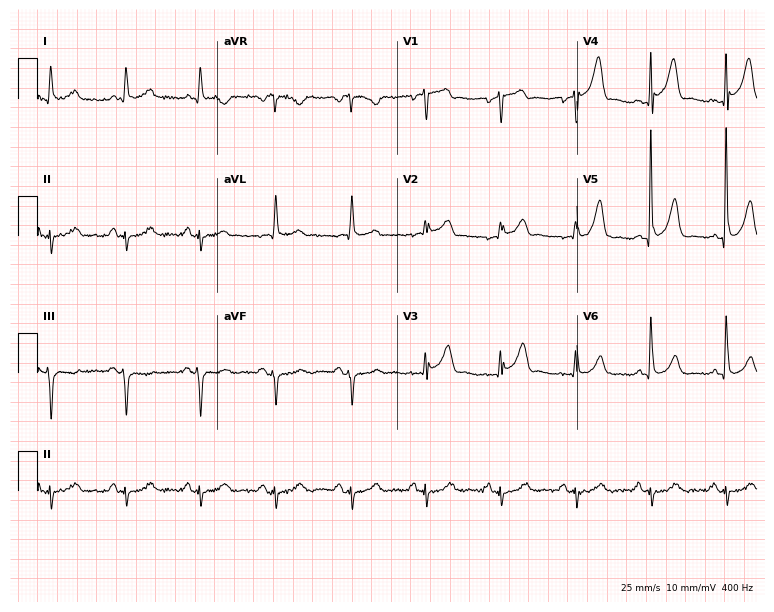
Standard 12-lead ECG recorded from a male, 79 years old. None of these six findings is recorded: first-degree AV block, right bundle branch block, left bundle branch block, sinus bradycardia, atrial fibrillation, sinus tachycardia. Only these six findings were labelled.